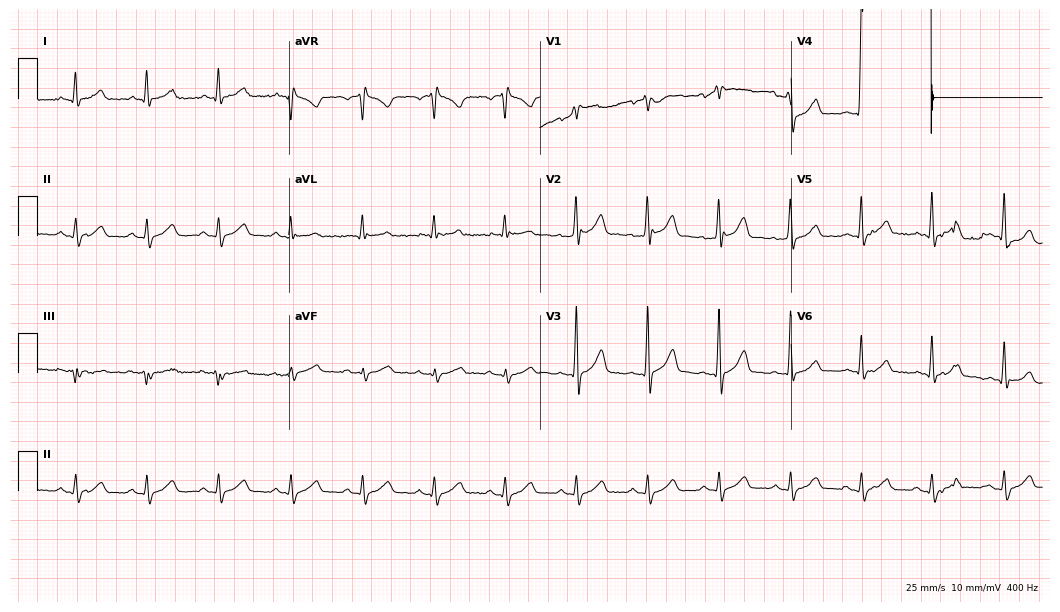
12-lead ECG (10.2-second recording at 400 Hz) from a 54-year-old male. Screened for six findings — first-degree AV block, right bundle branch block, left bundle branch block, sinus bradycardia, atrial fibrillation, sinus tachycardia — none is recorded. Other findings, if any, are not listed.